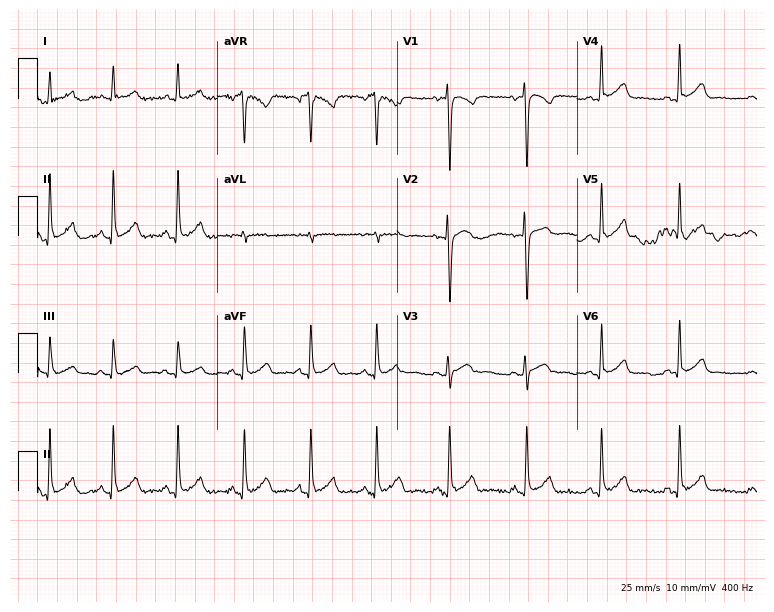
12-lead ECG from a woman, 25 years old. Recorded interpretation: within normal limits.